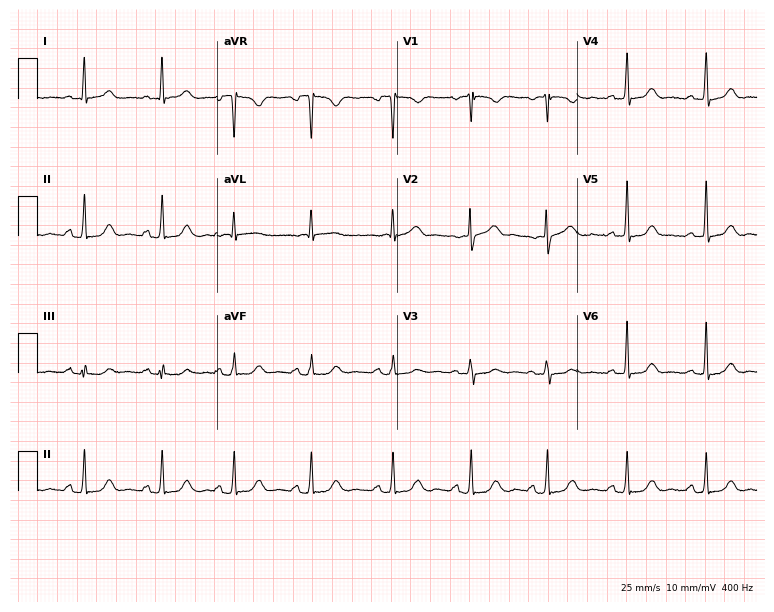
Electrocardiogram (7.3-second recording at 400 Hz), a 52-year-old female. Overall reading on record: normal ECG.